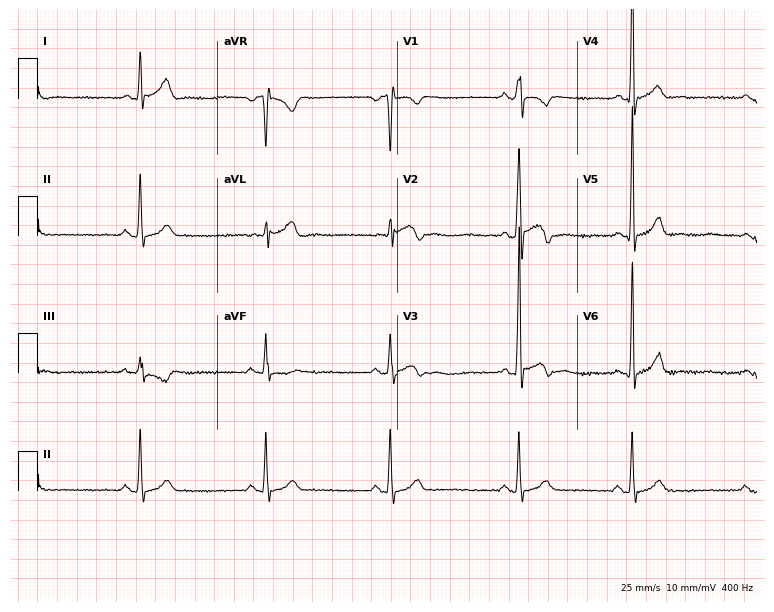
Electrocardiogram (7.3-second recording at 400 Hz), a male, 25 years old. Interpretation includes sinus bradycardia (a sinus rate of 50 beats per minute or less).